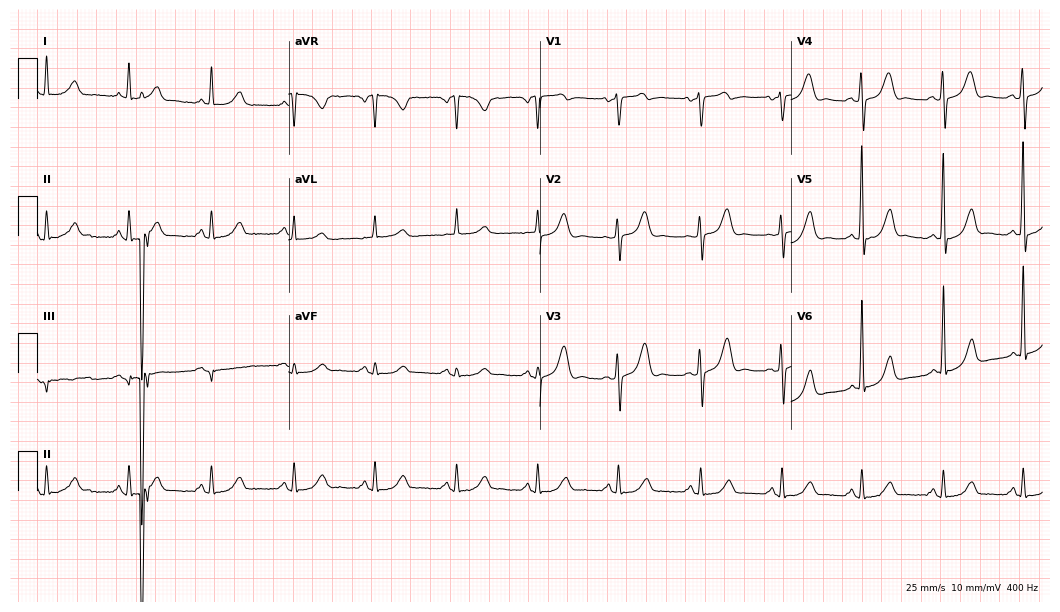
12-lead ECG from a 66-year-old female patient (10.2-second recording at 400 Hz). No first-degree AV block, right bundle branch block, left bundle branch block, sinus bradycardia, atrial fibrillation or sinus tachycardia recorded for this tracing.